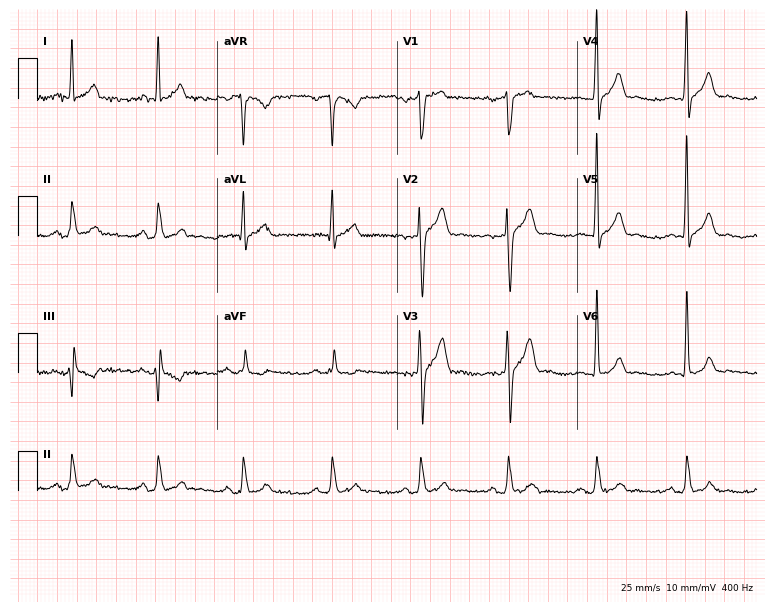
Resting 12-lead electrocardiogram (7.3-second recording at 400 Hz). Patient: a 32-year-old male. Read as a normal ECG.